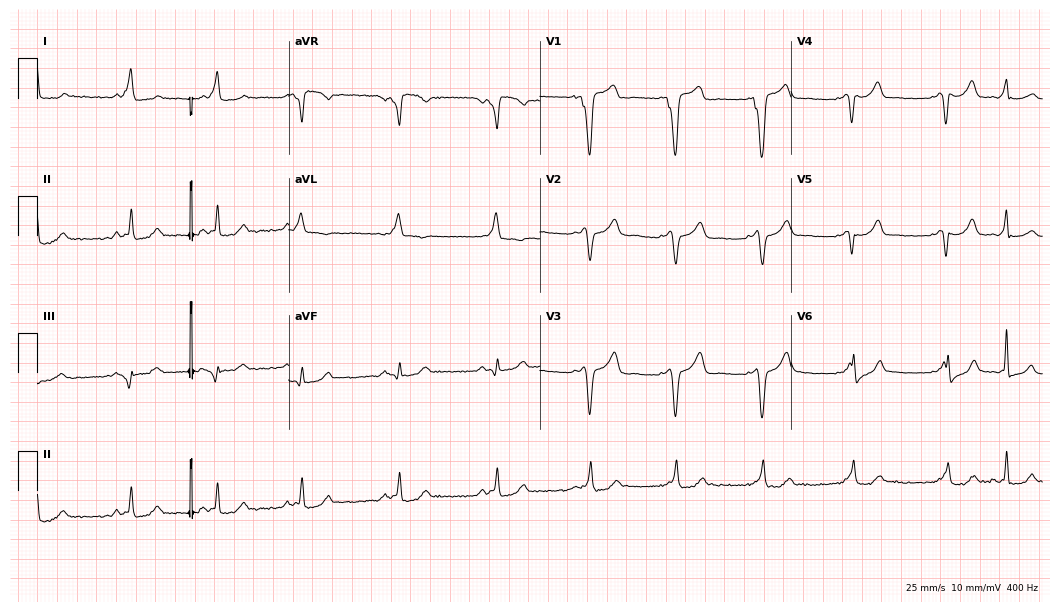
Resting 12-lead electrocardiogram. Patient: a female, 30 years old. None of these six findings is recorded: first-degree AV block, right bundle branch block, left bundle branch block, sinus bradycardia, atrial fibrillation, sinus tachycardia.